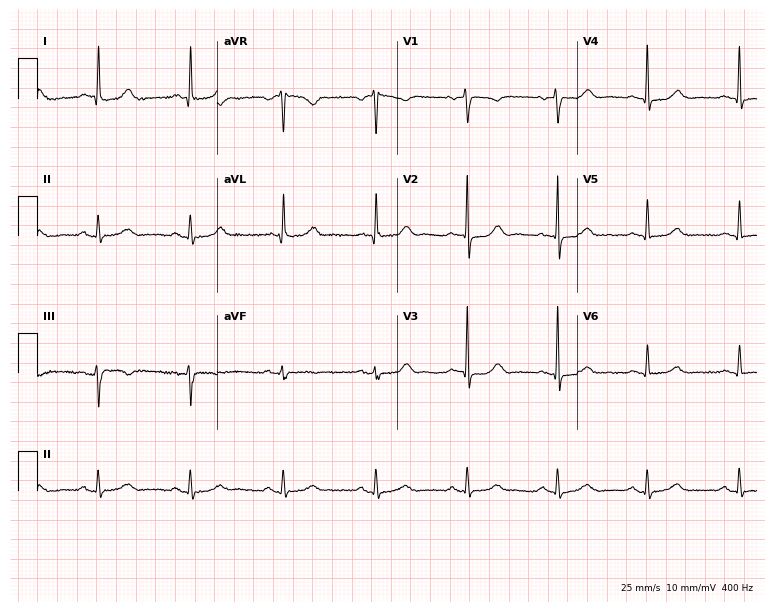
Standard 12-lead ECG recorded from a 66-year-old female (7.3-second recording at 400 Hz). Read as a normal ECG.